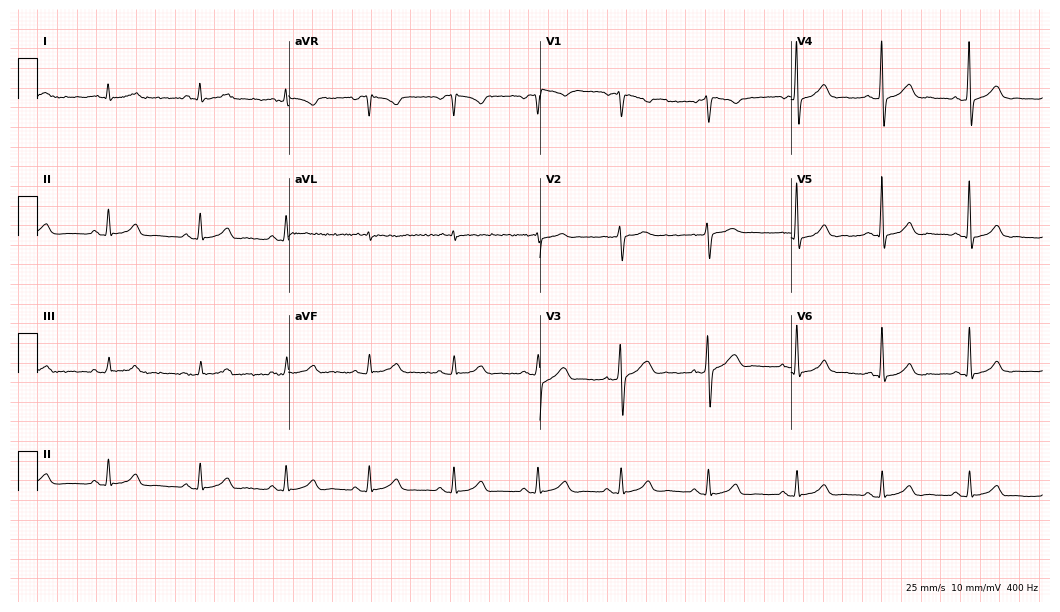
Electrocardiogram (10.2-second recording at 400 Hz), a man, 45 years old. Overall reading on record: normal ECG.